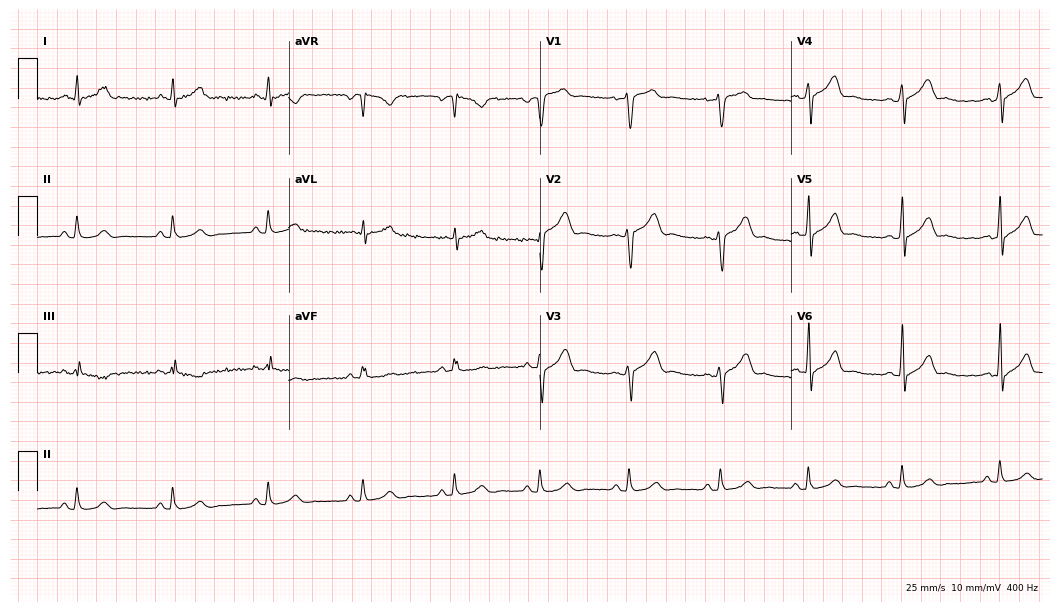
Electrocardiogram (10.2-second recording at 400 Hz), a 32-year-old male. Overall reading on record: normal ECG.